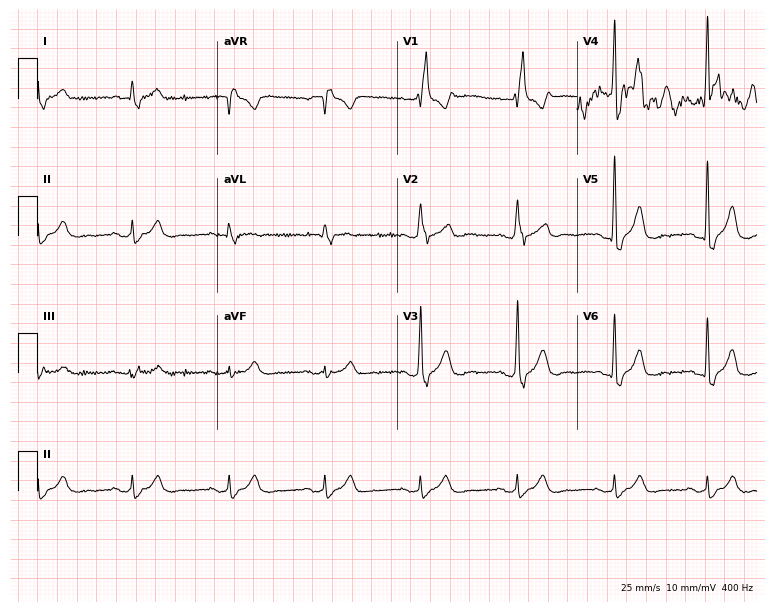
12-lead ECG from a 61-year-old man. No first-degree AV block, right bundle branch block, left bundle branch block, sinus bradycardia, atrial fibrillation or sinus tachycardia recorded for this tracing. Only these six findings were labelled.